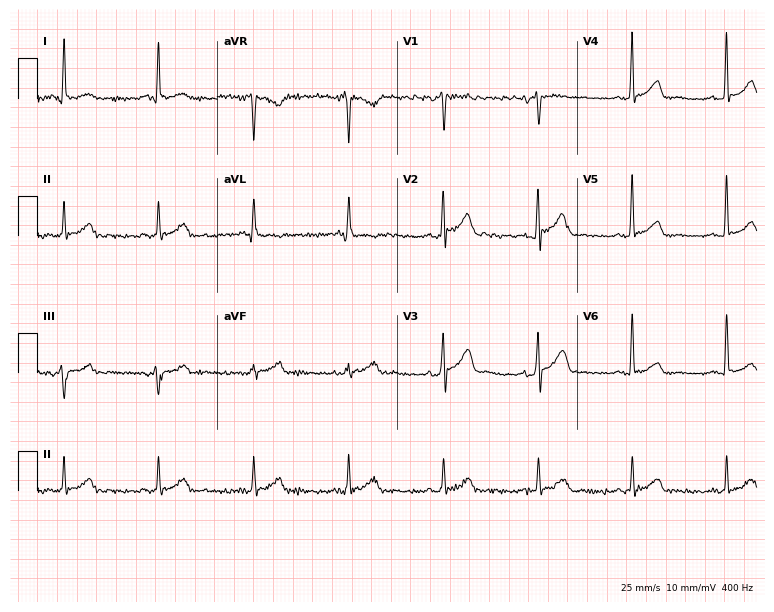
12-lead ECG (7.3-second recording at 400 Hz) from a man, 69 years old. Screened for six findings — first-degree AV block, right bundle branch block, left bundle branch block, sinus bradycardia, atrial fibrillation, sinus tachycardia — none is recorded.